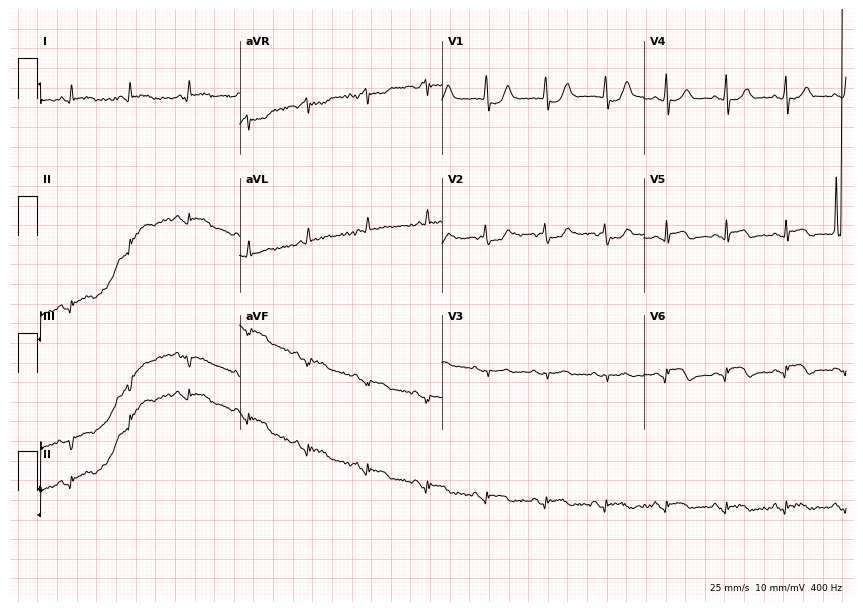
Electrocardiogram (8.2-second recording at 400 Hz), a 55-year-old female patient. Of the six screened findings (first-degree AV block, right bundle branch block, left bundle branch block, sinus bradycardia, atrial fibrillation, sinus tachycardia), none is recorded.